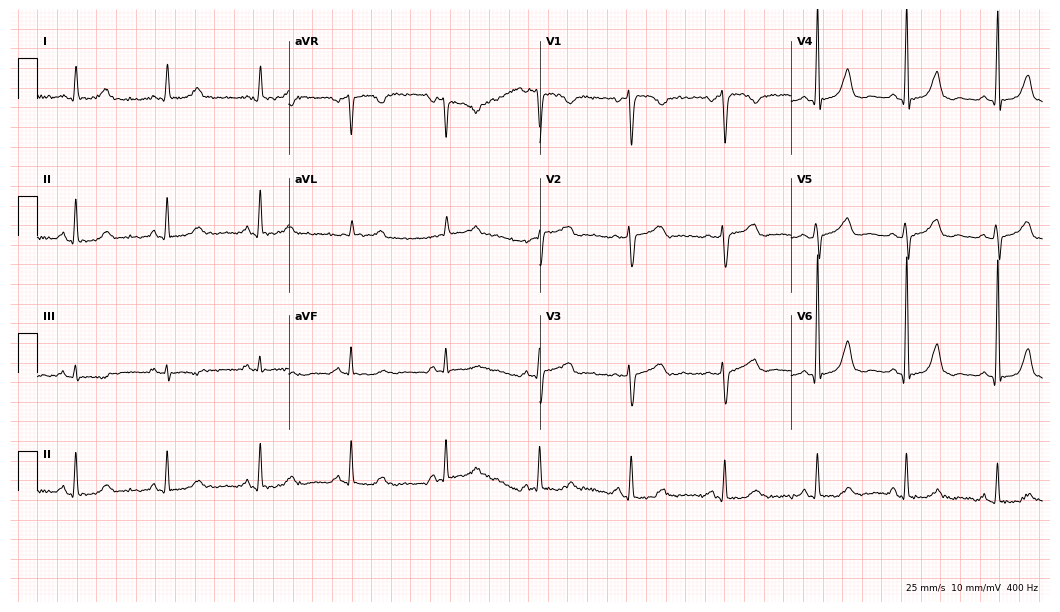
Standard 12-lead ECG recorded from a 77-year-old female patient (10.2-second recording at 400 Hz). Read as a normal ECG.